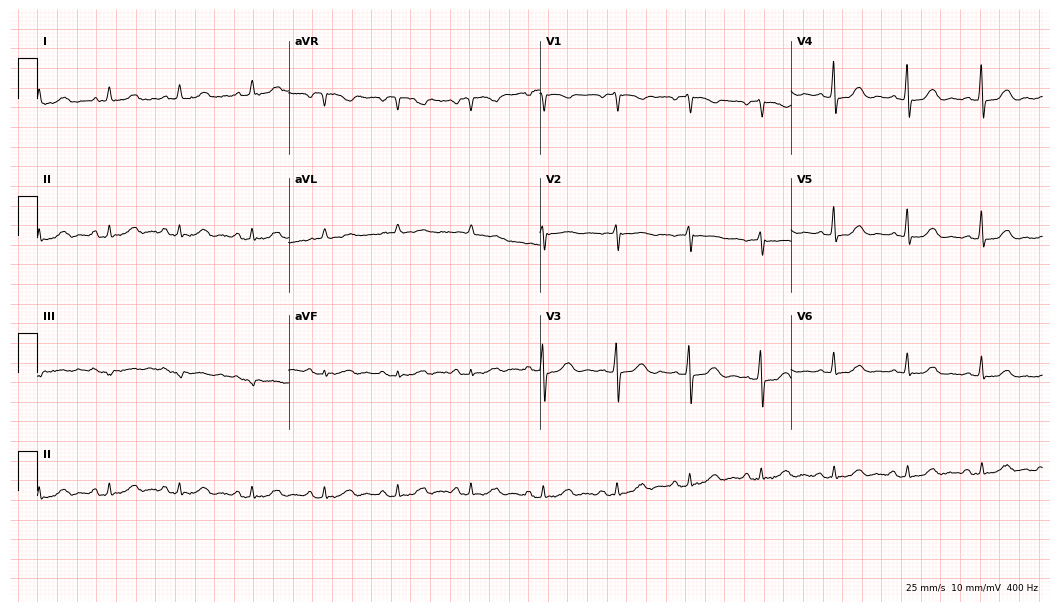
ECG — a 70-year-old female. Screened for six findings — first-degree AV block, right bundle branch block (RBBB), left bundle branch block (LBBB), sinus bradycardia, atrial fibrillation (AF), sinus tachycardia — none is recorded. Findings outside these six are not listed.